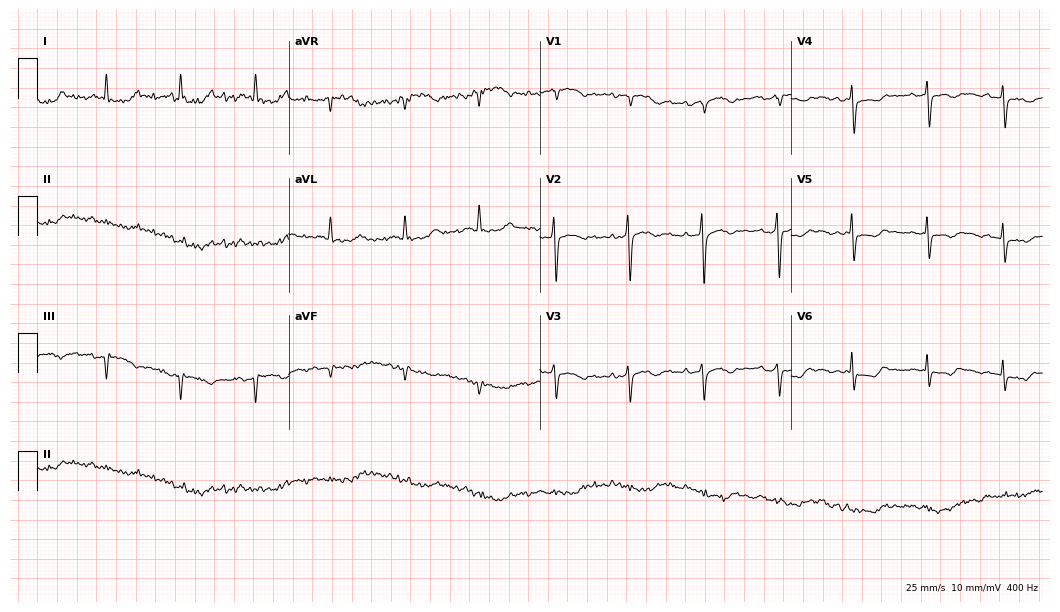
Electrocardiogram, an 81-year-old female. Of the six screened findings (first-degree AV block, right bundle branch block, left bundle branch block, sinus bradycardia, atrial fibrillation, sinus tachycardia), none is recorded. Only these six findings were labelled.